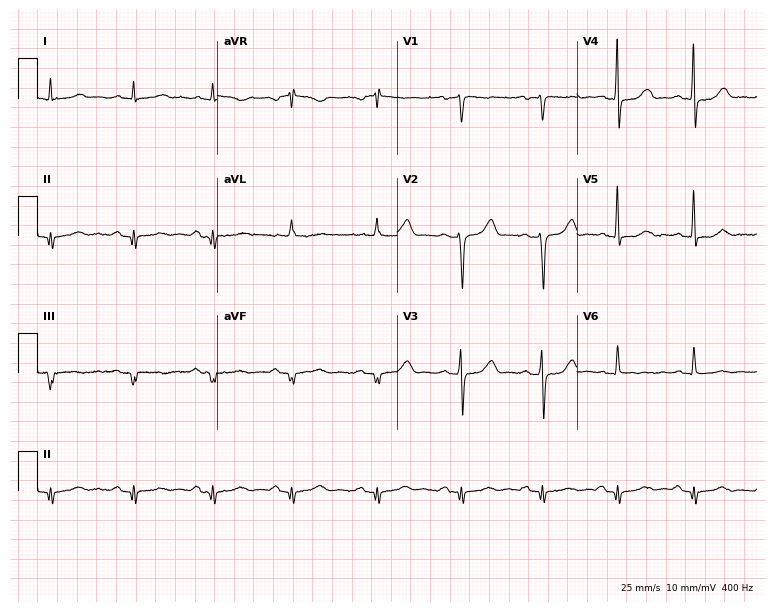
12-lead ECG from a 43-year-old female patient (7.3-second recording at 400 Hz). No first-degree AV block, right bundle branch block, left bundle branch block, sinus bradycardia, atrial fibrillation or sinus tachycardia recorded for this tracing. Only these six findings were labelled.